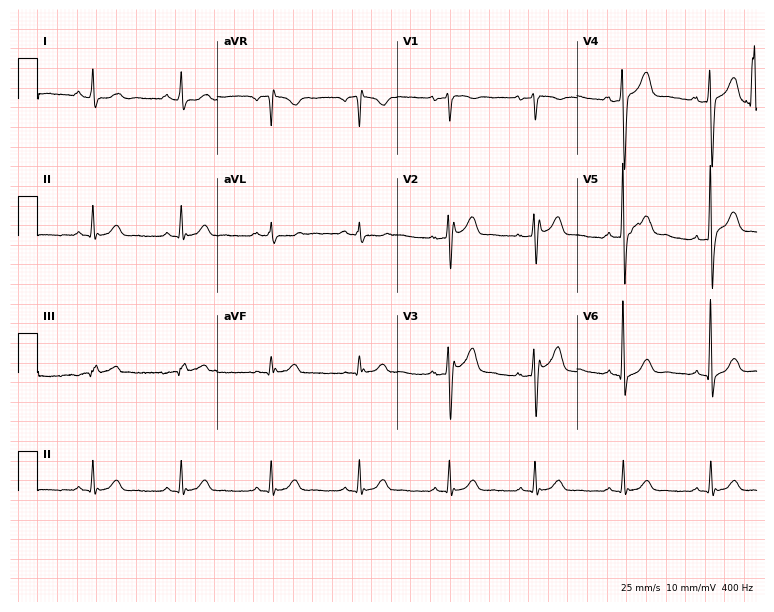
Resting 12-lead electrocardiogram (7.3-second recording at 400 Hz). Patient: a 64-year-old male. Read as a normal ECG.